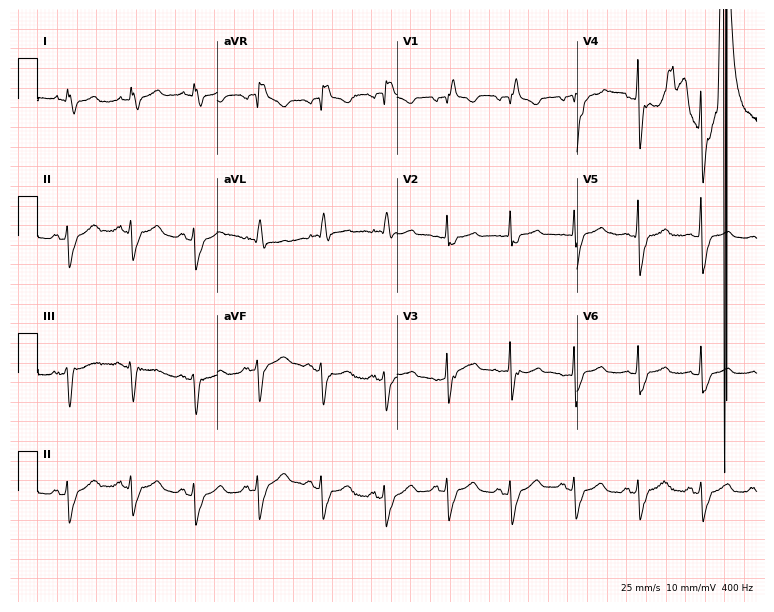
Electrocardiogram (7.3-second recording at 400 Hz), a female, 83 years old. Interpretation includes right bundle branch block.